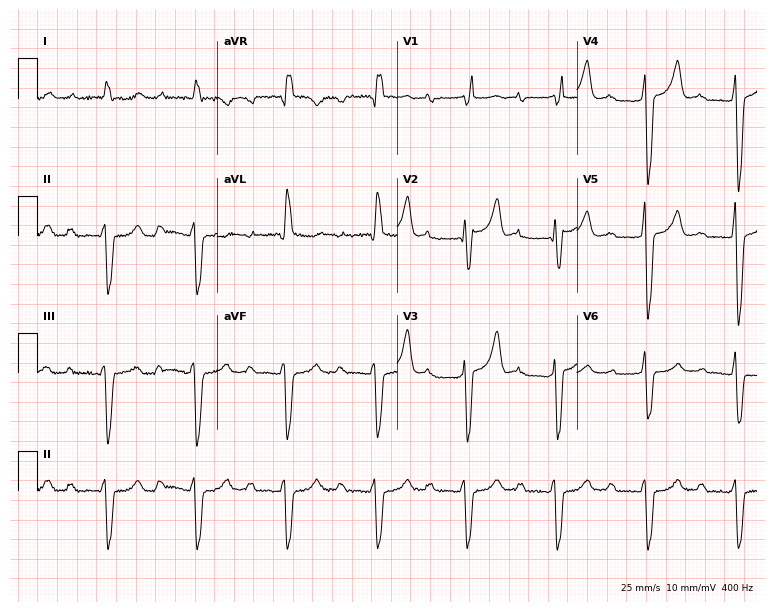
Resting 12-lead electrocardiogram (7.3-second recording at 400 Hz). Patient: an 83-year-old male. The tracing shows first-degree AV block, right bundle branch block (RBBB).